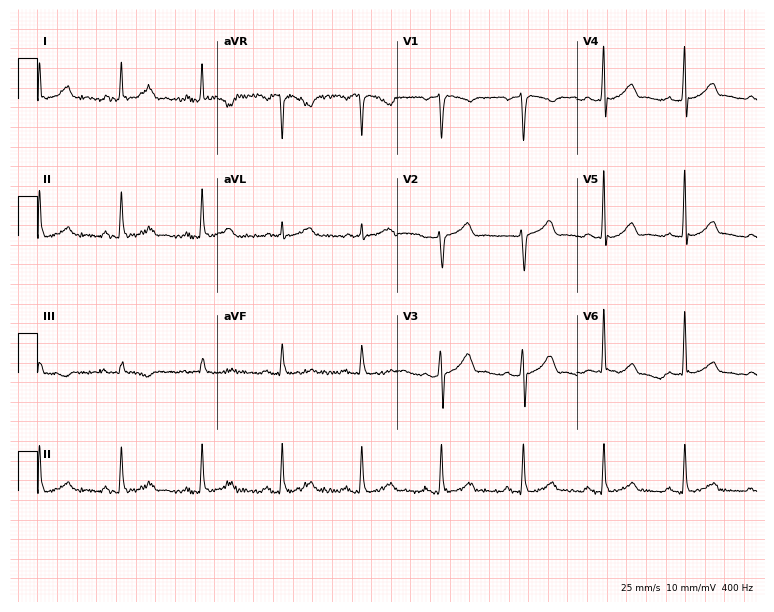
ECG — a 47-year-old male patient. Labelled as a normal ECG.